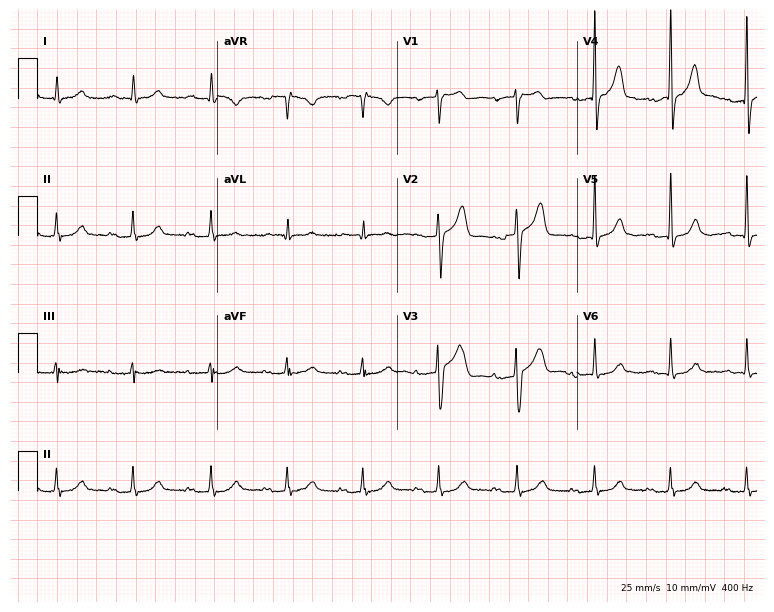
Standard 12-lead ECG recorded from a 63-year-old male (7.3-second recording at 400 Hz). The tracing shows first-degree AV block.